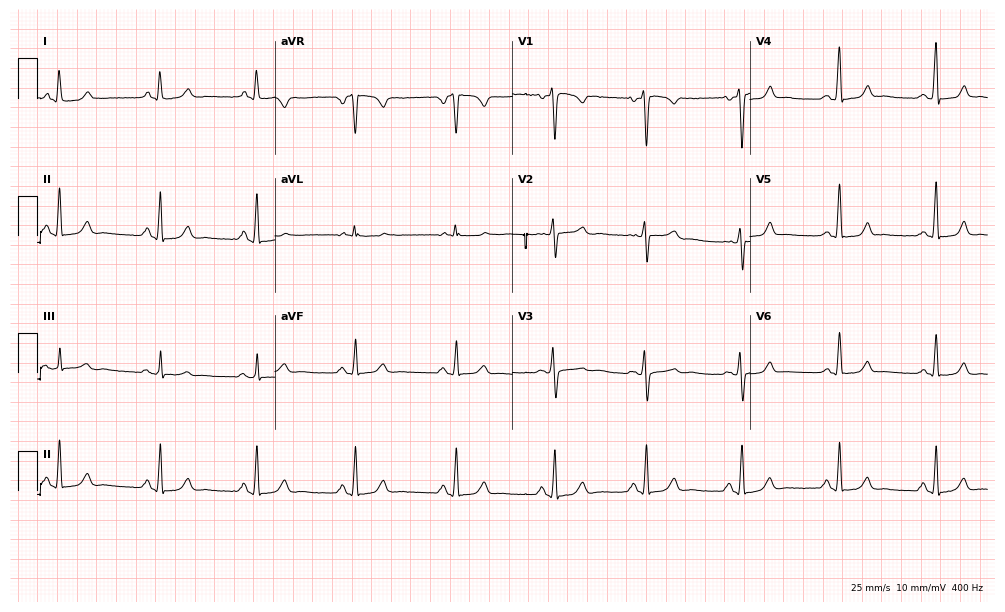
Resting 12-lead electrocardiogram. Patient: a 40-year-old female. Read as a normal ECG.